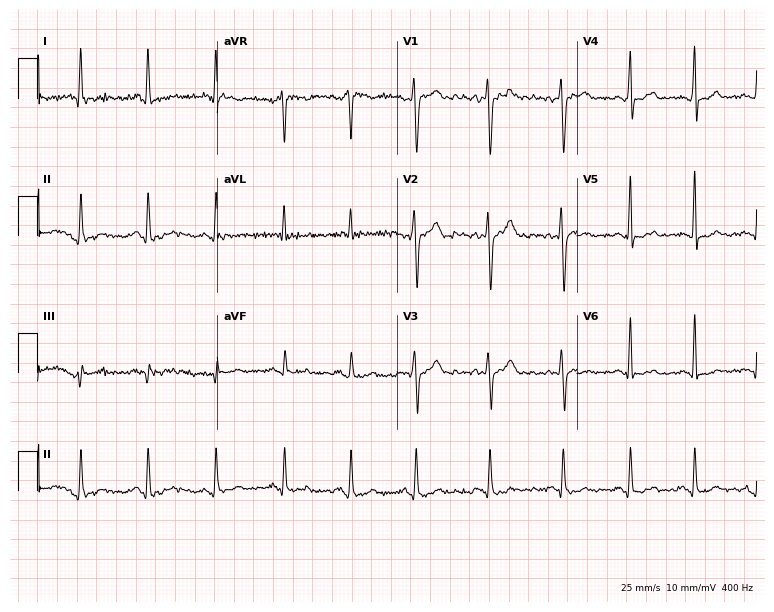
ECG — a female patient, 18 years old. Screened for six findings — first-degree AV block, right bundle branch block (RBBB), left bundle branch block (LBBB), sinus bradycardia, atrial fibrillation (AF), sinus tachycardia — none is recorded.